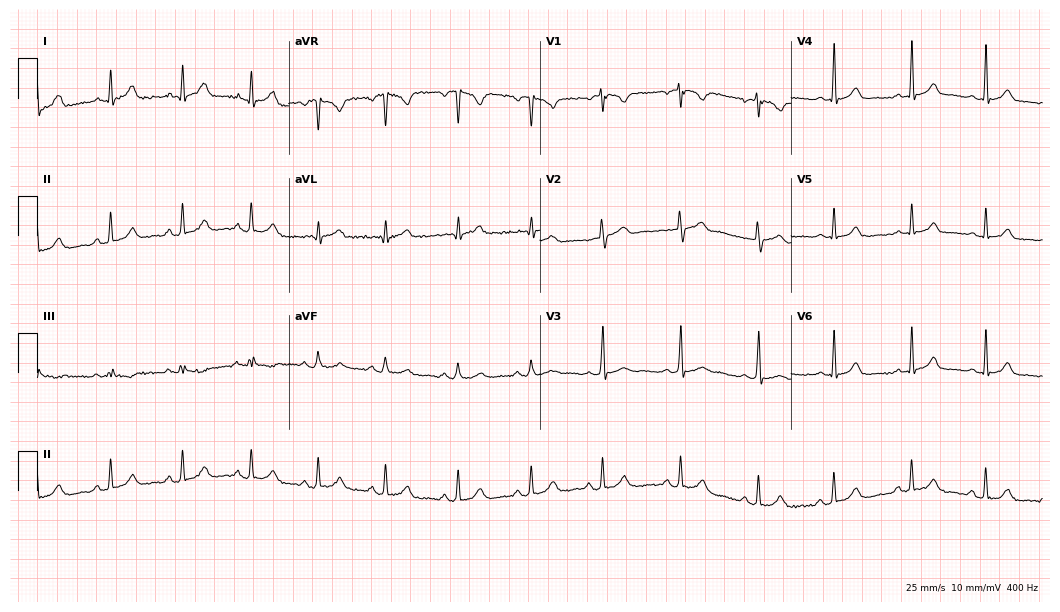
Resting 12-lead electrocardiogram (10.2-second recording at 400 Hz). Patient: a 24-year-old woman. None of these six findings is recorded: first-degree AV block, right bundle branch block, left bundle branch block, sinus bradycardia, atrial fibrillation, sinus tachycardia.